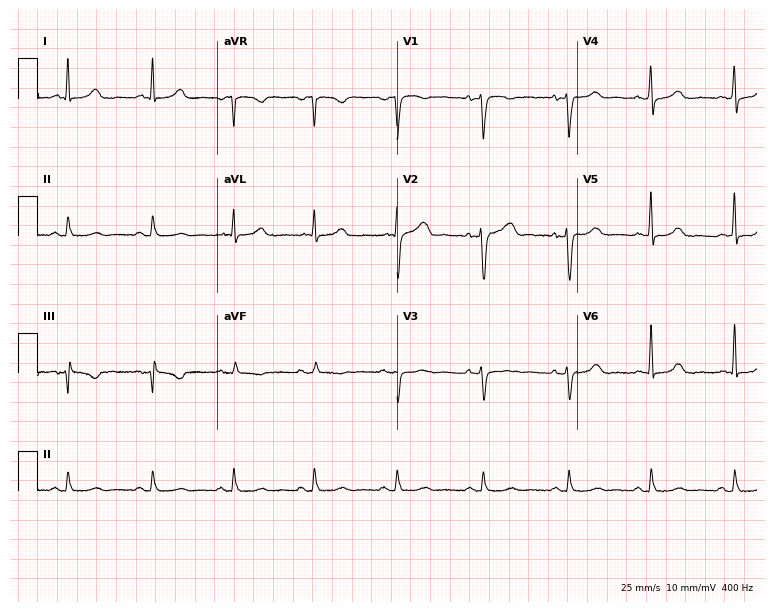
12-lead ECG (7.3-second recording at 400 Hz) from a female patient, 47 years old. Screened for six findings — first-degree AV block, right bundle branch block, left bundle branch block, sinus bradycardia, atrial fibrillation, sinus tachycardia — none is recorded. Findings outside these six are not listed.